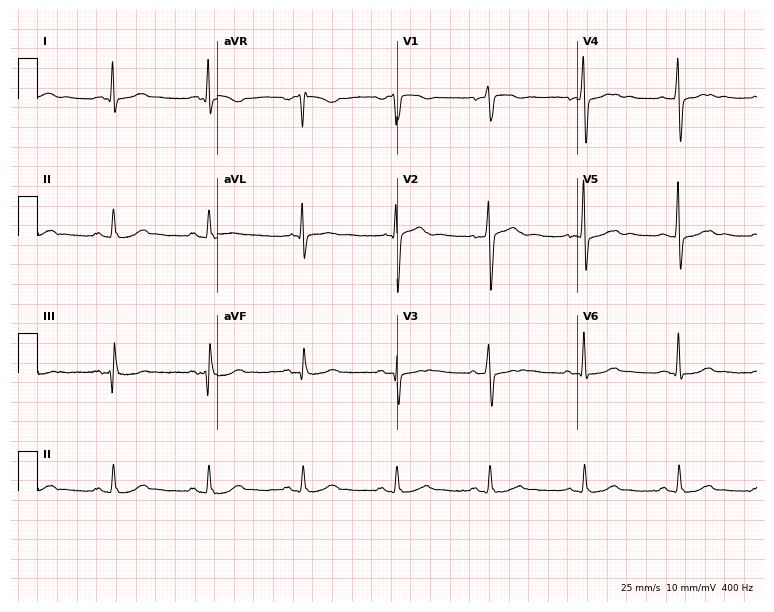
12-lead ECG (7.3-second recording at 400 Hz) from a man, 62 years old. Screened for six findings — first-degree AV block, right bundle branch block, left bundle branch block, sinus bradycardia, atrial fibrillation, sinus tachycardia — none is recorded. Only these six findings were labelled.